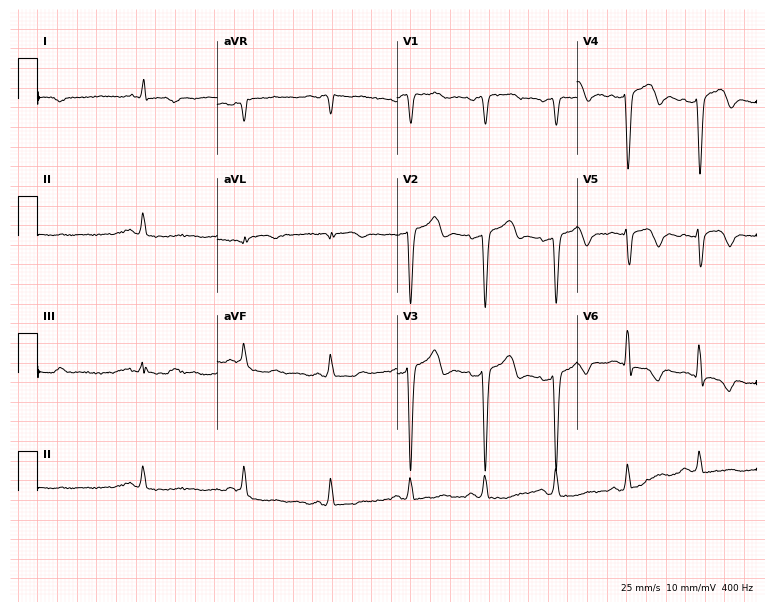
ECG (7.3-second recording at 400 Hz) — a male, 51 years old. Screened for six findings — first-degree AV block, right bundle branch block, left bundle branch block, sinus bradycardia, atrial fibrillation, sinus tachycardia — none is recorded.